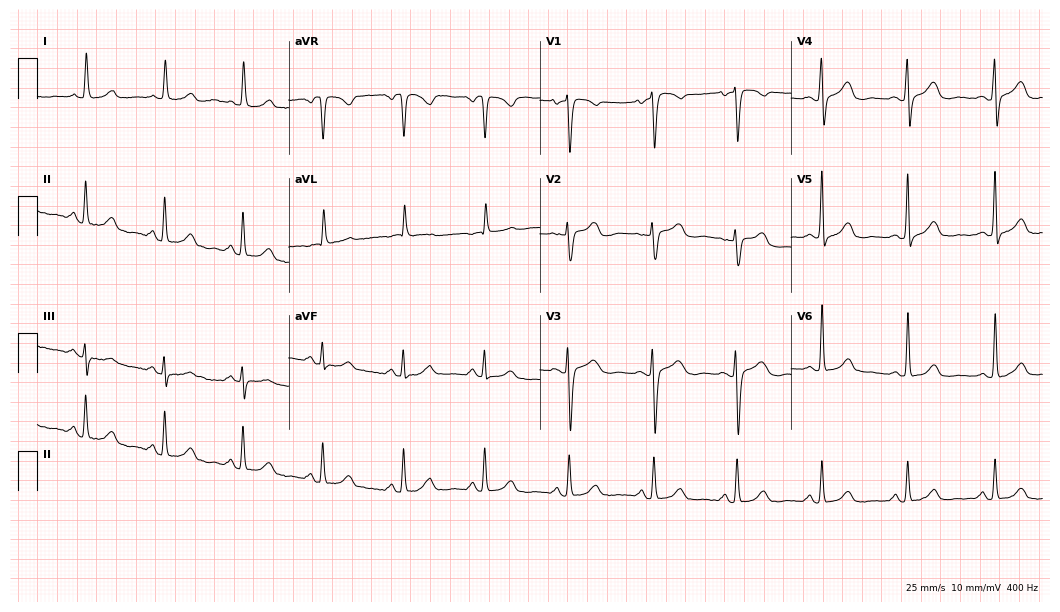
12-lead ECG from a 70-year-old female patient. Screened for six findings — first-degree AV block, right bundle branch block, left bundle branch block, sinus bradycardia, atrial fibrillation, sinus tachycardia — none is recorded.